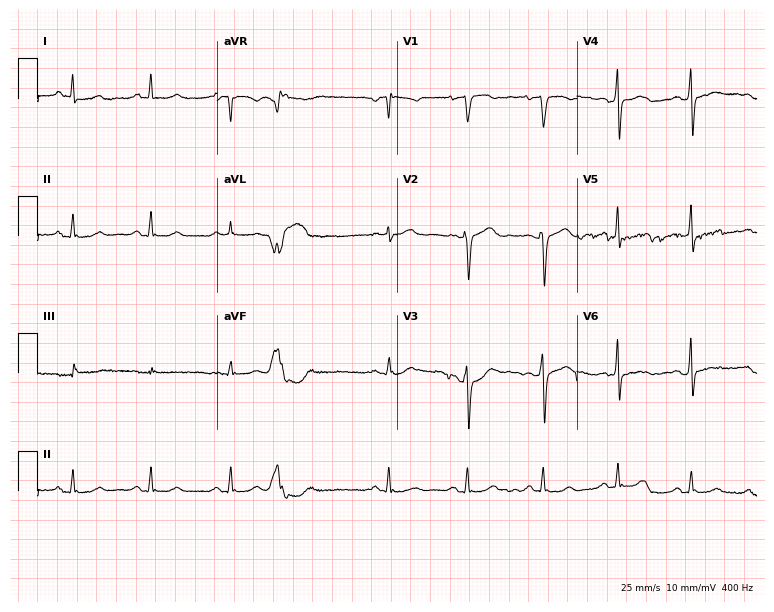
Electrocardiogram (7.3-second recording at 400 Hz), a 63-year-old female patient. Of the six screened findings (first-degree AV block, right bundle branch block, left bundle branch block, sinus bradycardia, atrial fibrillation, sinus tachycardia), none is recorded.